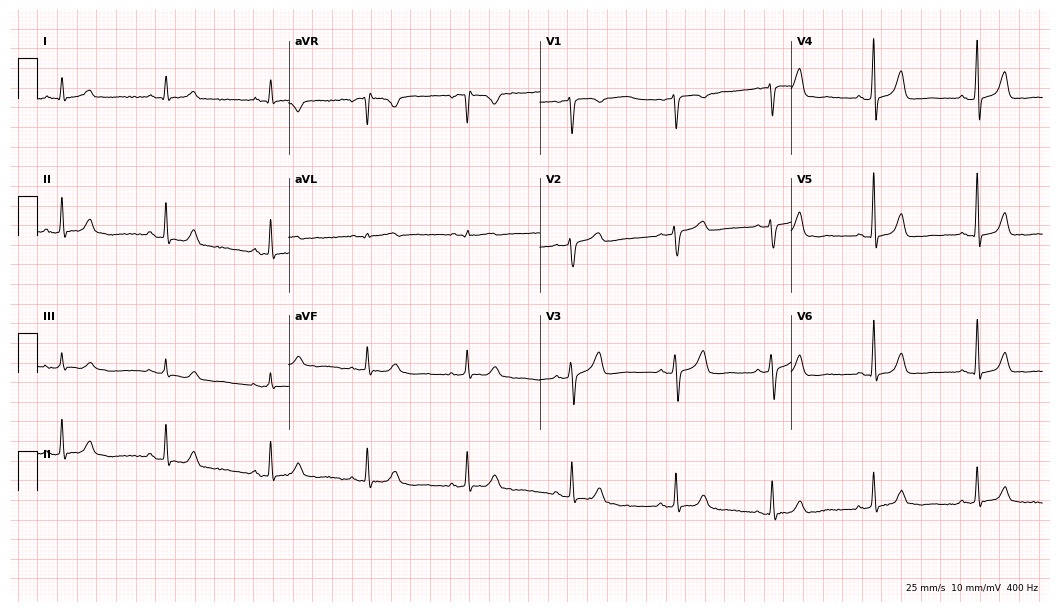
Resting 12-lead electrocardiogram (10.2-second recording at 400 Hz). Patient: a female, 67 years old. None of these six findings is recorded: first-degree AV block, right bundle branch block, left bundle branch block, sinus bradycardia, atrial fibrillation, sinus tachycardia.